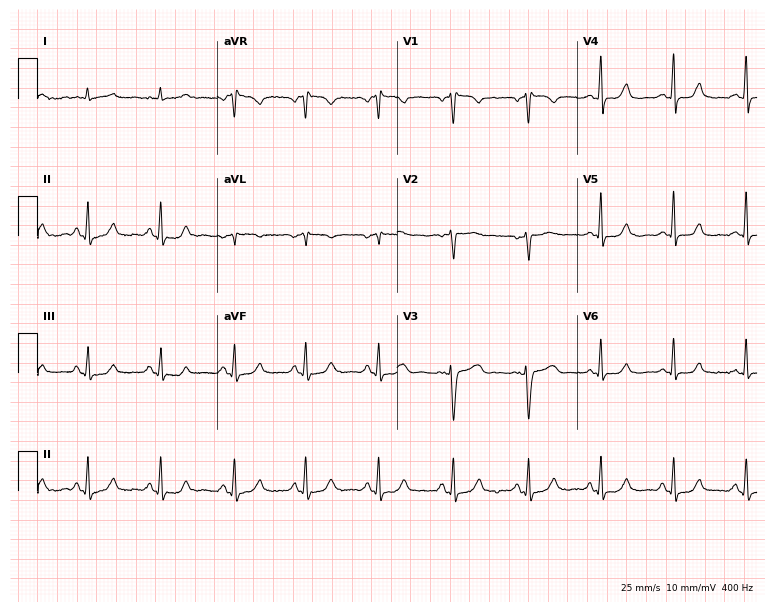
ECG (7.3-second recording at 400 Hz) — a 51-year-old woman. Screened for six findings — first-degree AV block, right bundle branch block, left bundle branch block, sinus bradycardia, atrial fibrillation, sinus tachycardia — none is recorded.